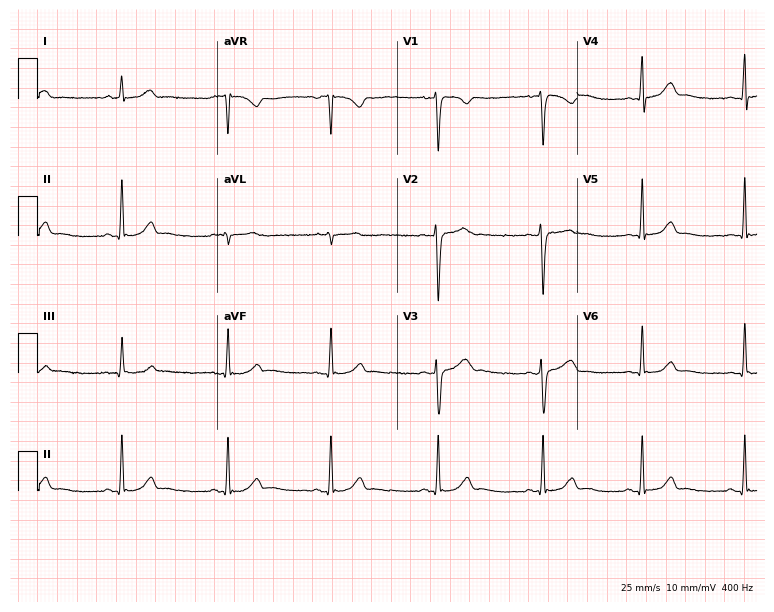
ECG (7.3-second recording at 400 Hz) — a female patient, 36 years old. Screened for six findings — first-degree AV block, right bundle branch block, left bundle branch block, sinus bradycardia, atrial fibrillation, sinus tachycardia — none is recorded. Only these six findings were labelled.